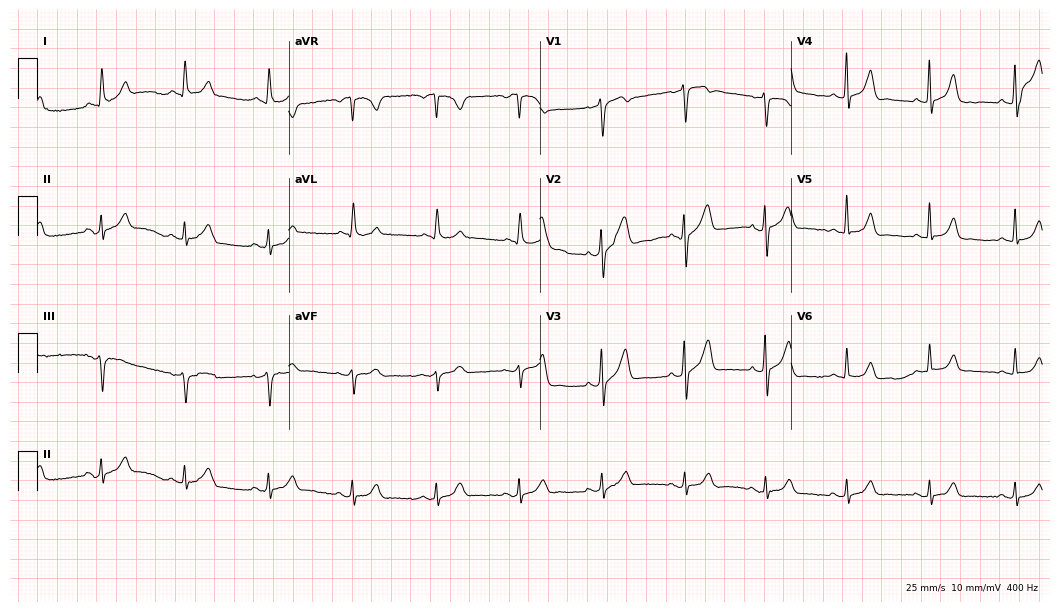
12-lead ECG from a 67-year-old man (10.2-second recording at 400 Hz). No first-degree AV block, right bundle branch block (RBBB), left bundle branch block (LBBB), sinus bradycardia, atrial fibrillation (AF) or sinus tachycardia recorded for this tracing.